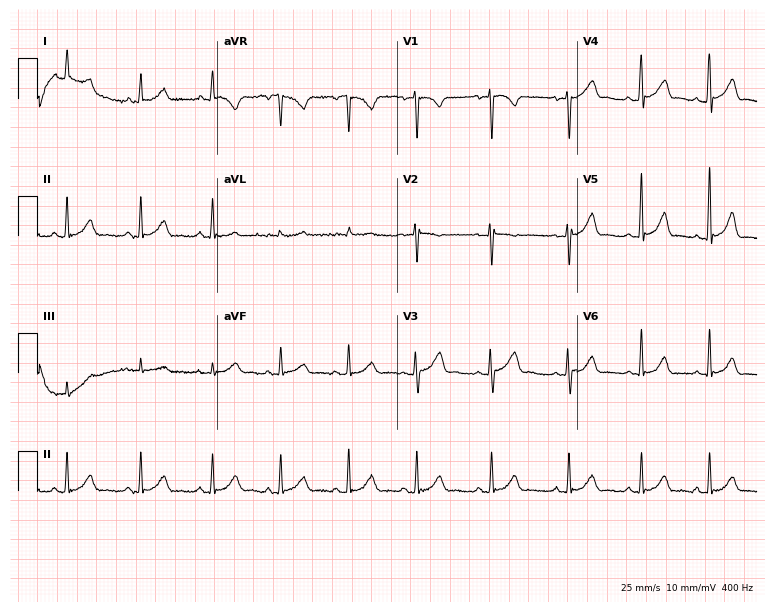
12-lead ECG from a 27-year-old female patient. Recorded interpretation: within normal limits.